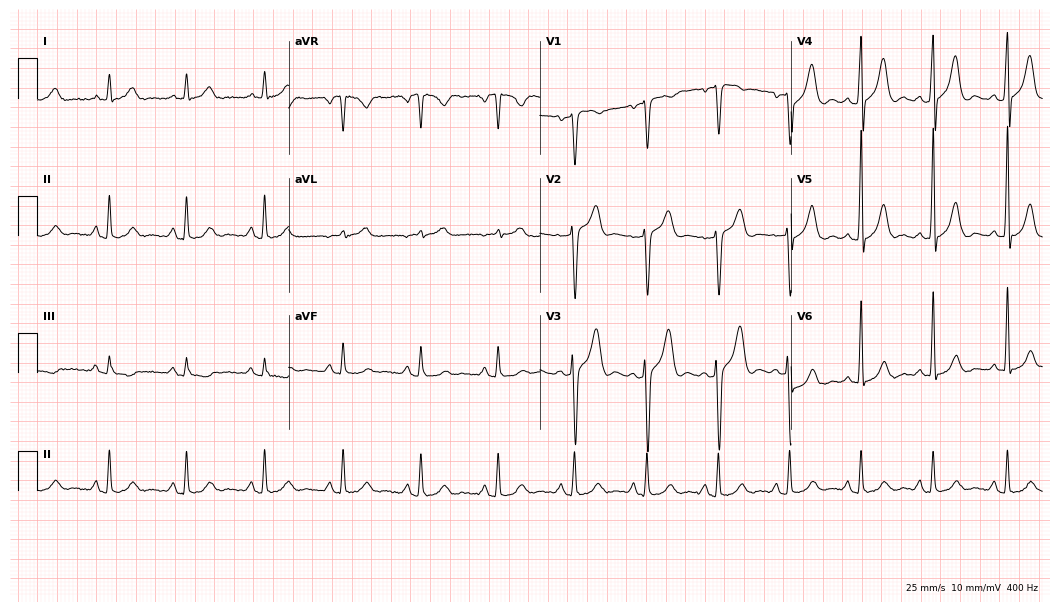
Standard 12-lead ECG recorded from a male, 40 years old. Read as a normal ECG.